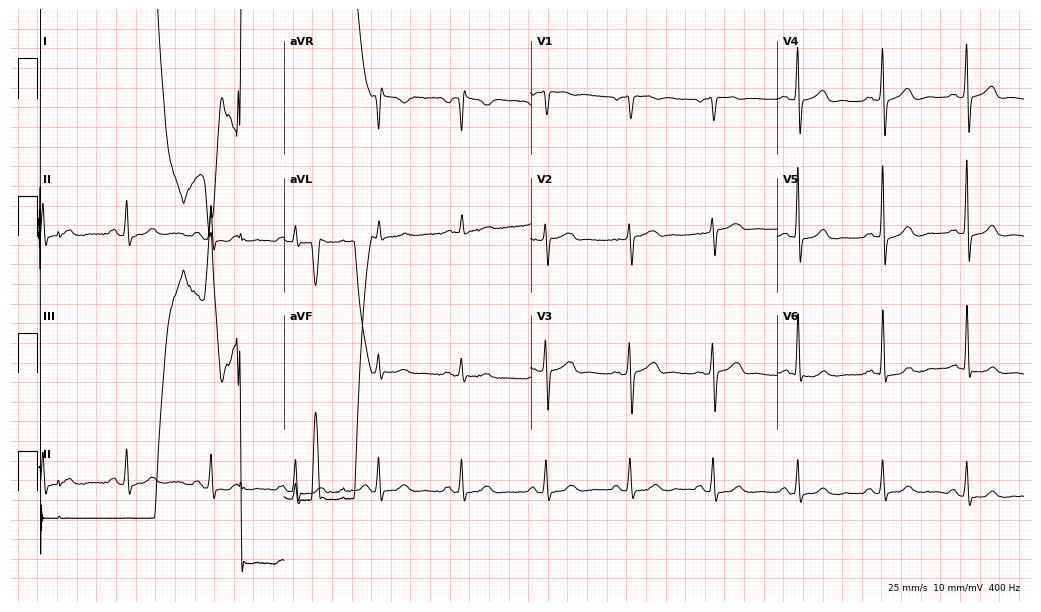
Standard 12-lead ECG recorded from a male patient, 66 years old (10.1-second recording at 400 Hz). None of these six findings is recorded: first-degree AV block, right bundle branch block, left bundle branch block, sinus bradycardia, atrial fibrillation, sinus tachycardia.